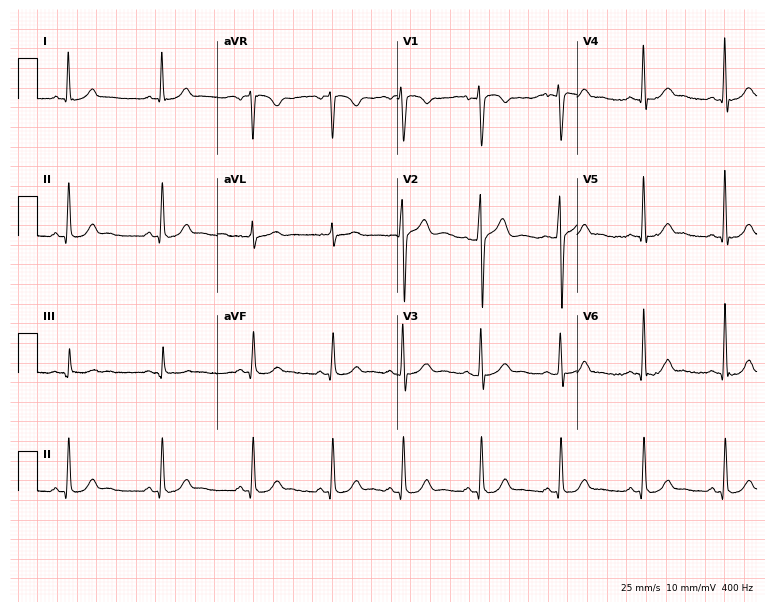
Resting 12-lead electrocardiogram (7.3-second recording at 400 Hz). Patient: a male, 43 years old. None of these six findings is recorded: first-degree AV block, right bundle branch block (RBBB), left bundle branch block (LBBB), sinus bradycardia, atrial fibrillation (AF), sinus tachycardia.